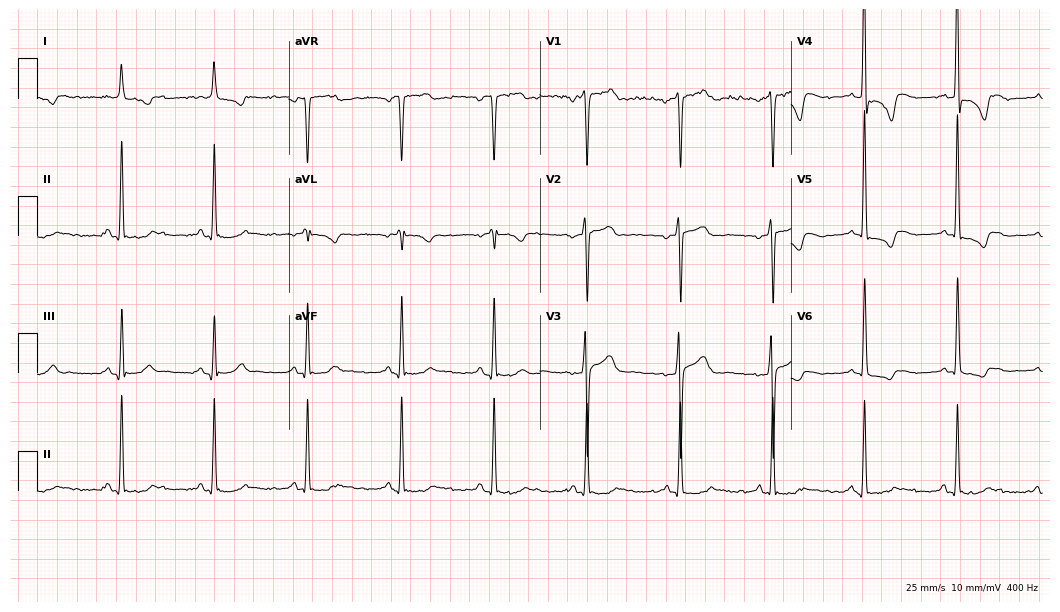
Electrocardiogram, a 78-year-old male. Of the six screened findings (first-degree AV block, right bundle branch block, left bundle branch block, sinus bradycardia, atrial fibrillation, sinus tachycardia), none is recorded. Other findings, if any, are not listed.